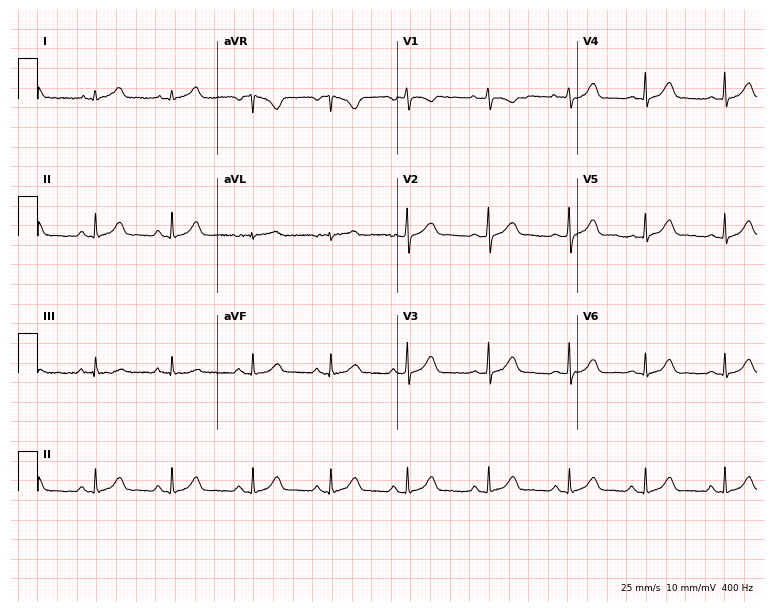
Electrocardiogram (7.3-second recording at 400 Hz), a 27-year-old woman. Overall reading on record: normal ECG.